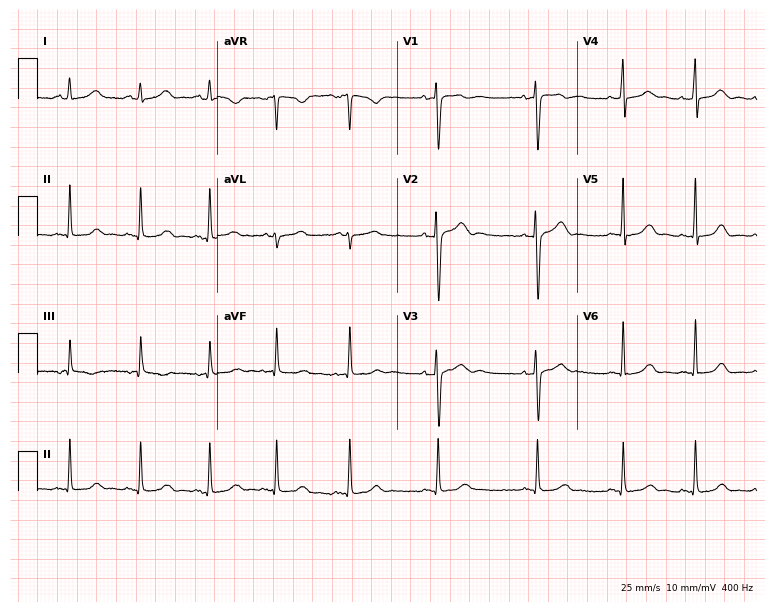
12-lead ECG from a woman, 29 years old. Recorded interpretation: within normal limits.